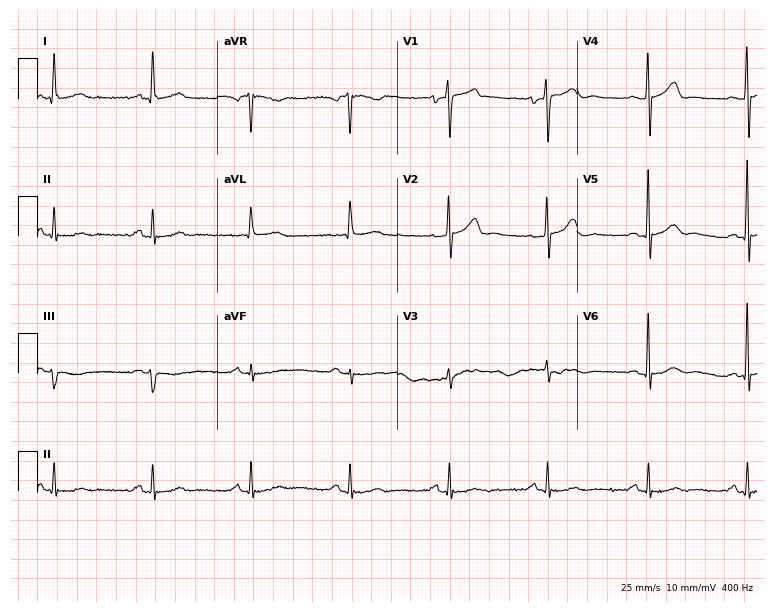
12-lead ECG (7.3-second recording at 400 Hz) from a male patient, 60 years old. Screened for six findings — first-degree AV block, right bundle branch block, left bundle branch block, sinus bradycardia, atrial fibrillation, sinus tachycardia — none is recorded. Only these six findings were labelled.